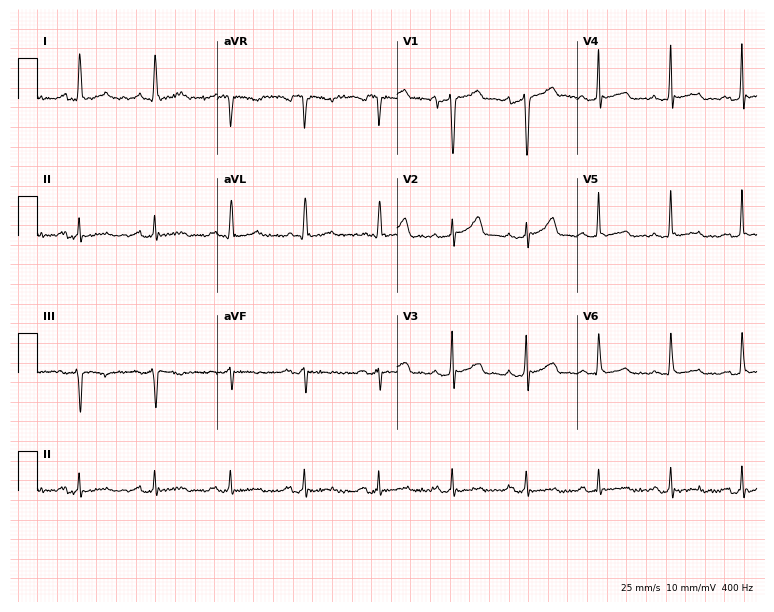
12-lead ECG (7.3-second recording at 400 Hz) from a 60-year-old male. Screened for six findings — first-degree AV block, right bundle branch block, left bundle branch block, sinus bradycardia, atrial fibrillation, sinus tachycardia — none is recorded.